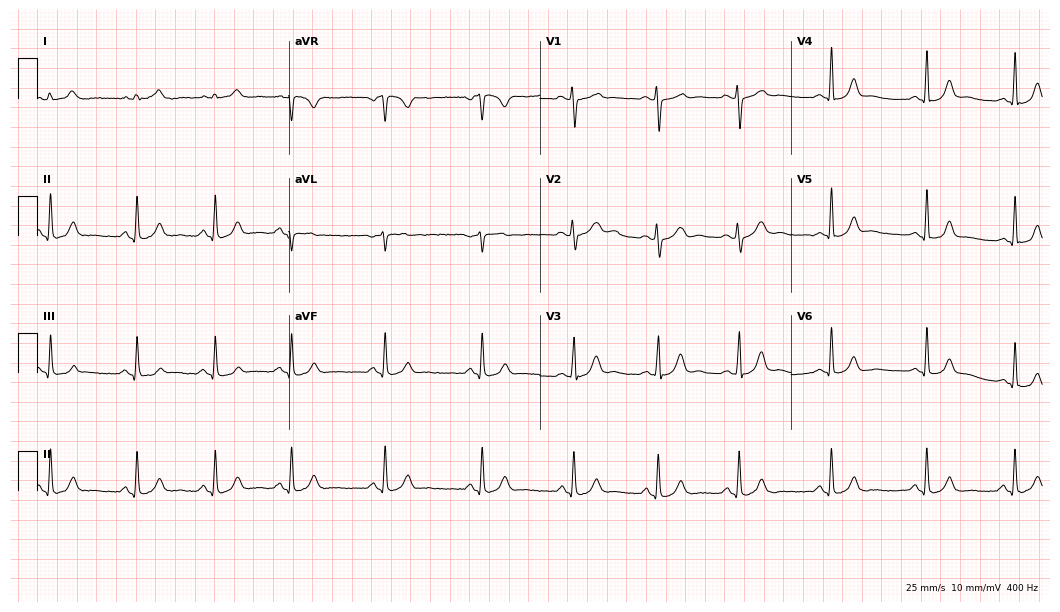
Electrocardiogram (10.2-second recording at 400 Hz), a 21-year-old female patient. Overall reading on record: normal ECG.